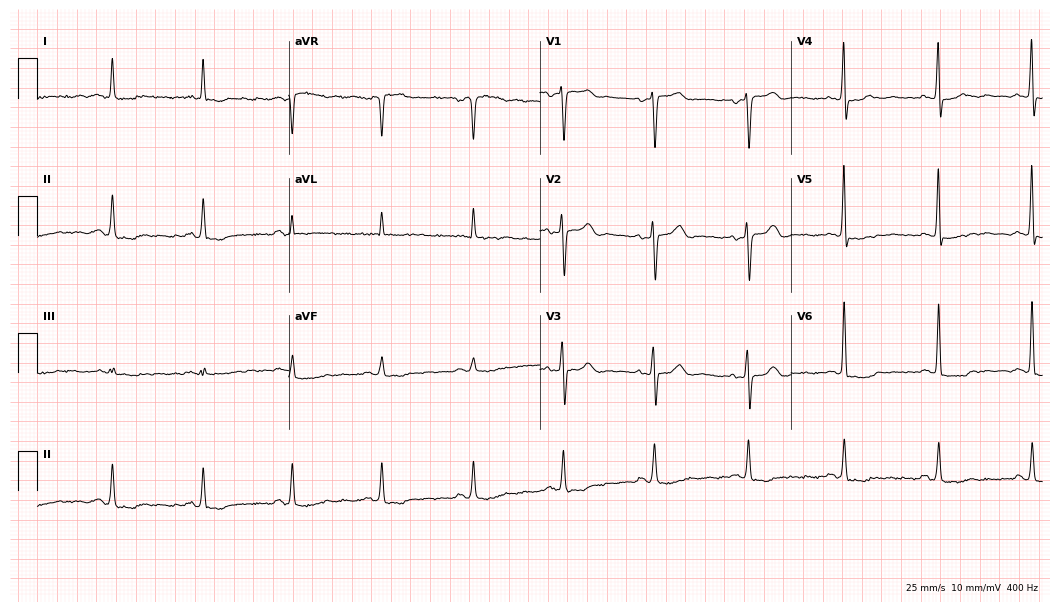
ECG (10.2-second recording at 400 Hz) — a female, 73 years old. Screened for six findings — first-degree AV block, right bundle branch block, left bundle branch block, sinus bradycardia, atrial fibrillation, sinus tachycardia — none is recorded.